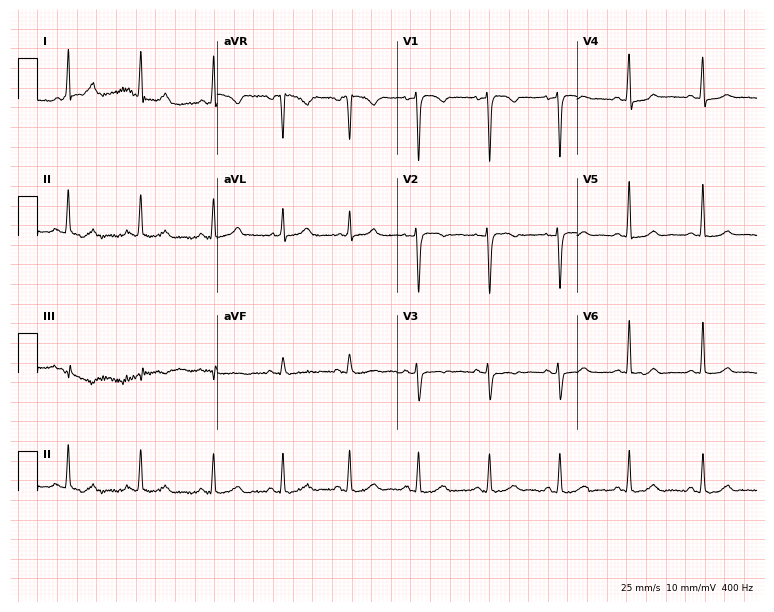
12-lead ECG from a woman, 36 years old (7.3-second recording at 400 Hz). Recorded interpretation: within normal limits.